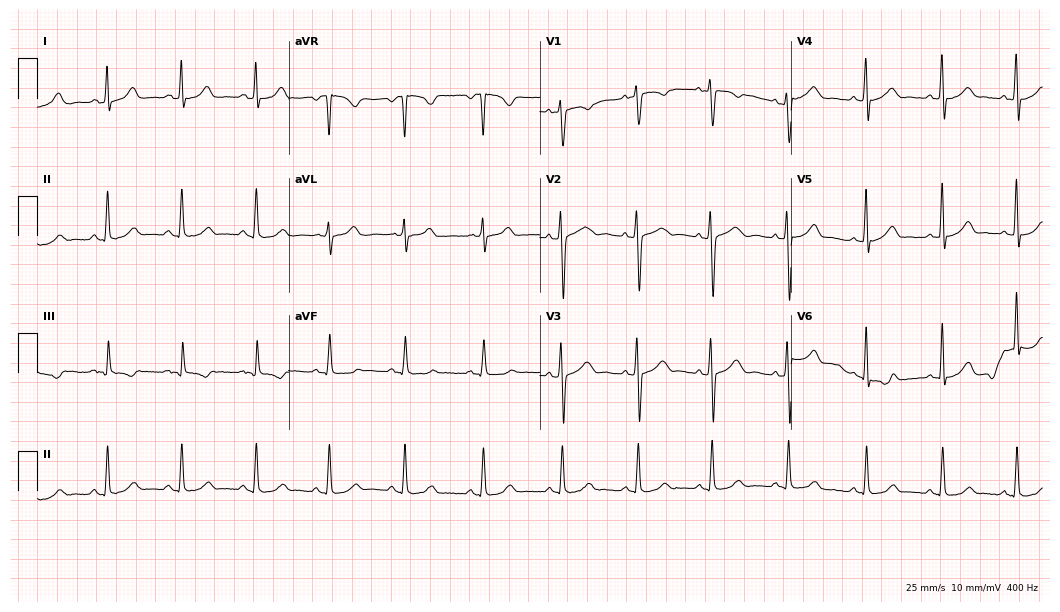
ECG (10.2-second recording at 400 Hz) — a woman, 25 years old. Labelled as a normal ECG.